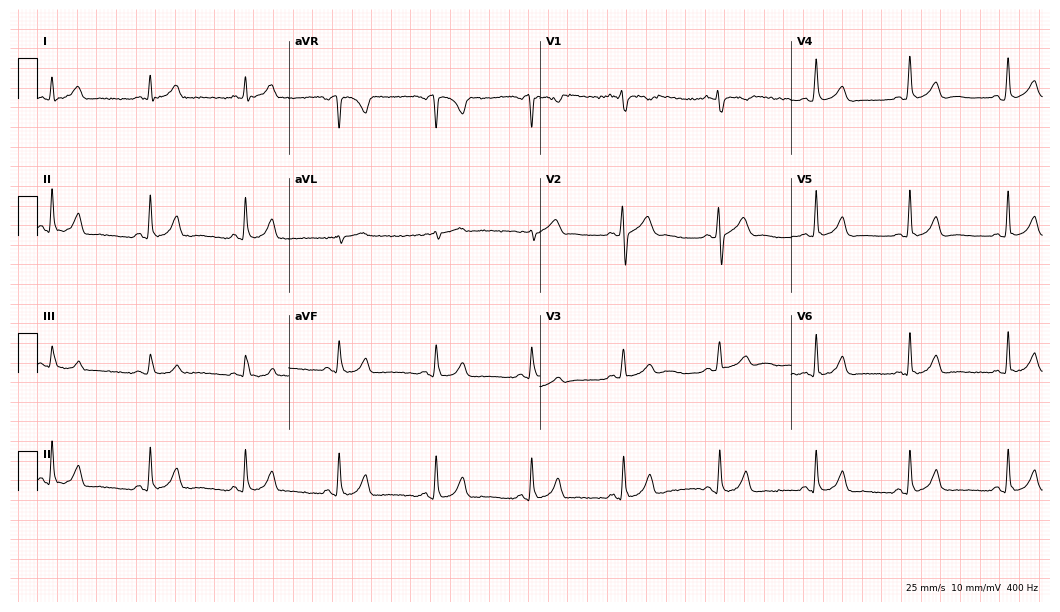
Standard 12-lead ECG recorded from a male, 25 years old. Read as a normal ECG.